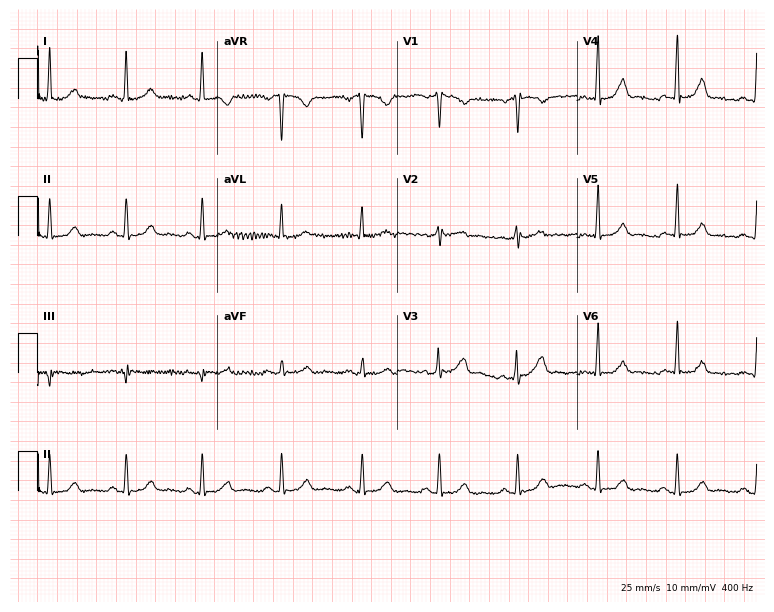
12-lead ECG from a female patient, 43 years old. Screened for six findings — first-degree AV block, right bundle branch block, left bundle branch block, sinus bradycardia, atrial fibrillation, sinus tachycardia — none is recorded.